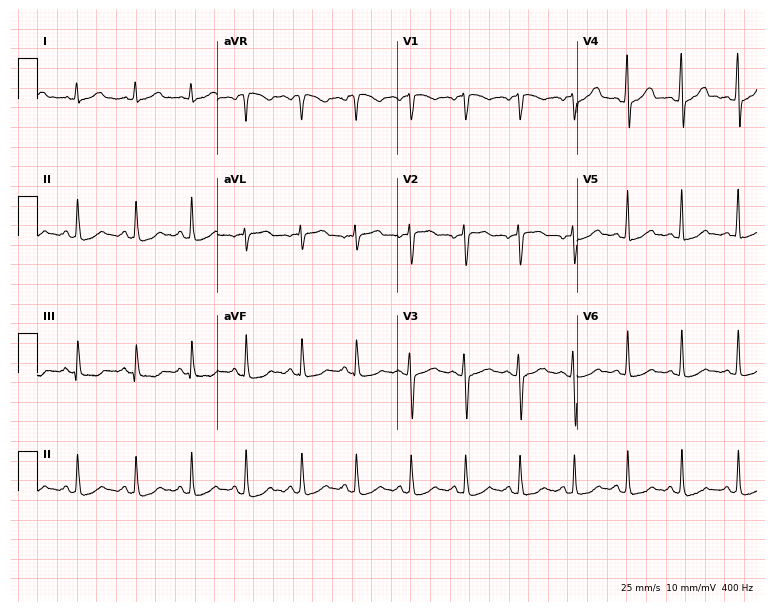
12-lead ECG (7.3-second recording at 400 Hz) from a woman, 25 years old. Findings include sinus tachycardia (a sinus rate of 100 beats per minute or more).